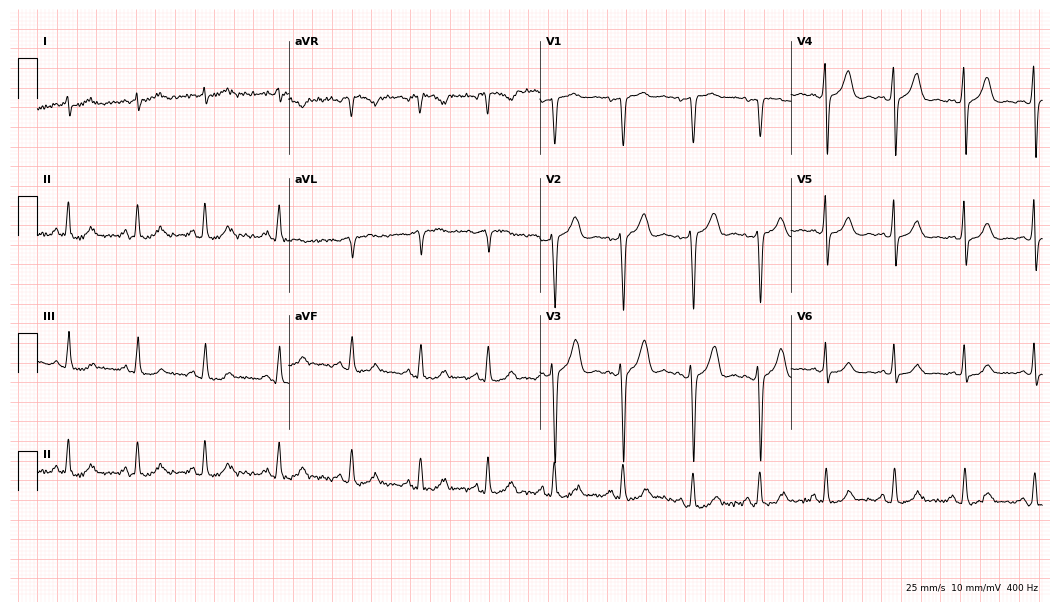
Resting 12-lead electrocardiogram (10.2-second recording at 400 Hz). Patient: a 42-year-old woman. None of these six findings is recorded: first-degree AV block, right bundle branch block, left bundle branch block, sinus bradycardia, atrial fibrillation, sinus tachycardia. Only these six findings were labelled.